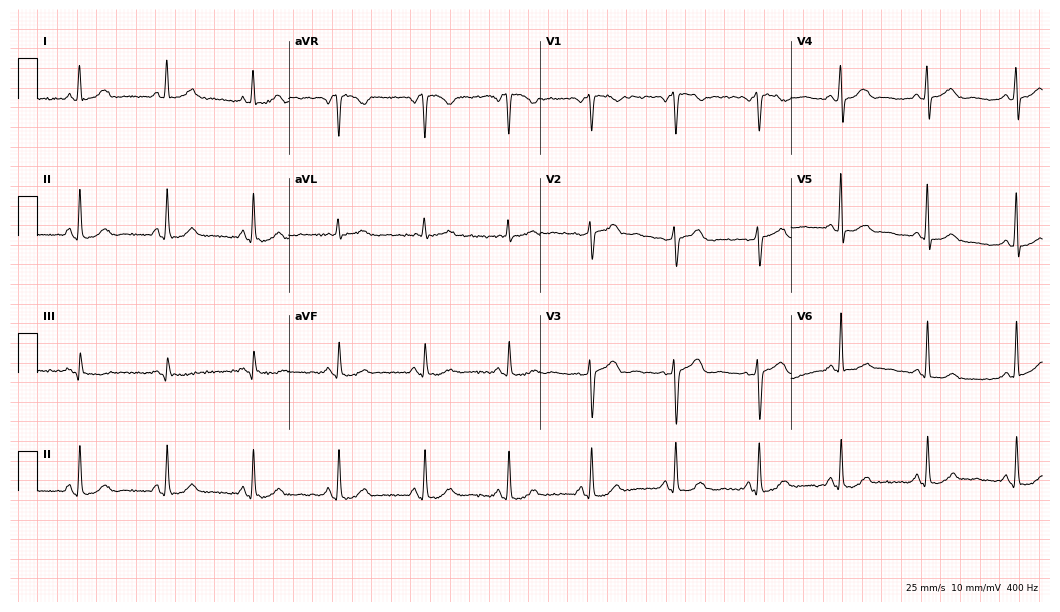
ECG (10.2-second recording at 400 Hz) — a 56-year-old woman. Labelled as a normal ECG.